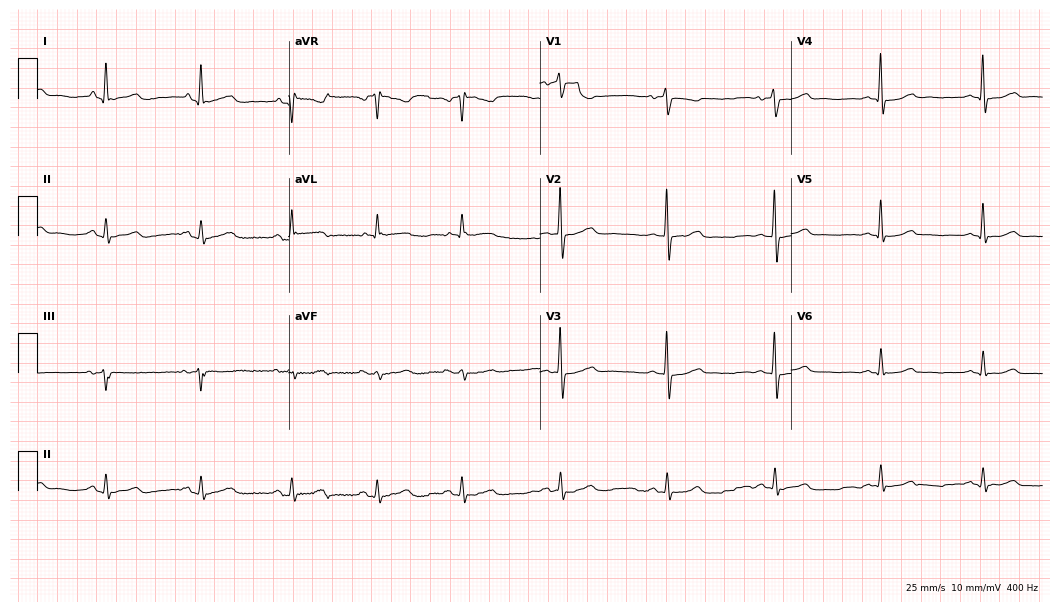
Electrocardiogram, a woman, 66 years old. Overall reading on record: normal ECG.